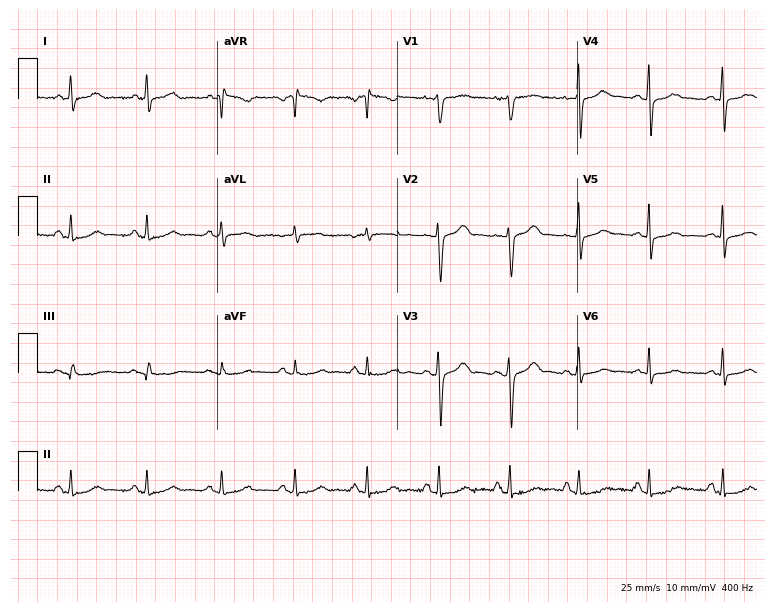
12-lead ECG from a female, 41 years old. Labelled as a normal ECG.